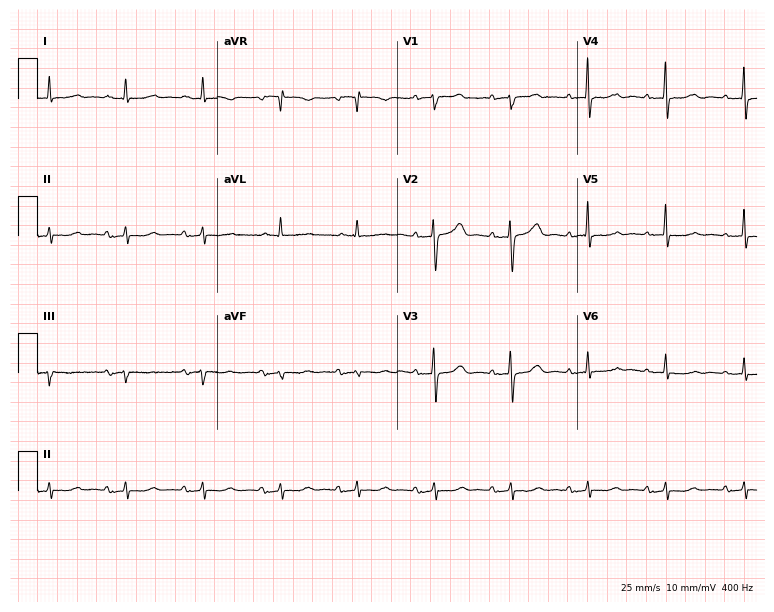
12-lead ECG from an 82-year-old female. No first-degree AV block, right bundle branch block, left bundle branch block, sinus bradycardia, atrial fibrillation or sinus tachycardia recorded for this tracing.